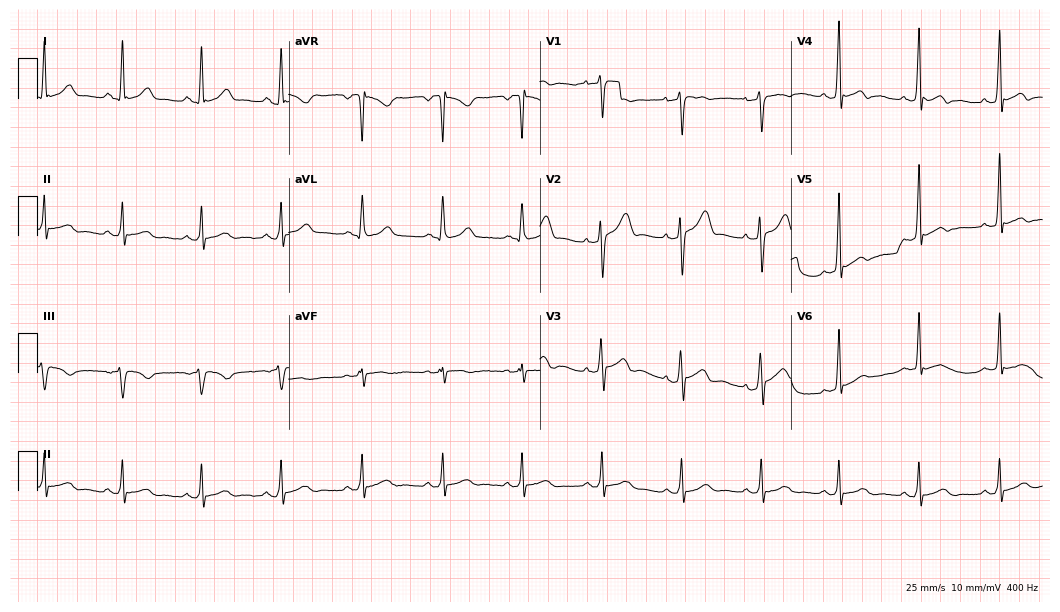
12-lead ECG (10.2-second recording at 400 Hz) from a 35-year-old man. Screened for six findings — first-degree AV block, right bundle branch block (RBBB), left bundle branch block (LBBB), sinus bradycardia, atrial fibrillation (AF), sinus tachycardia — none is recorded.